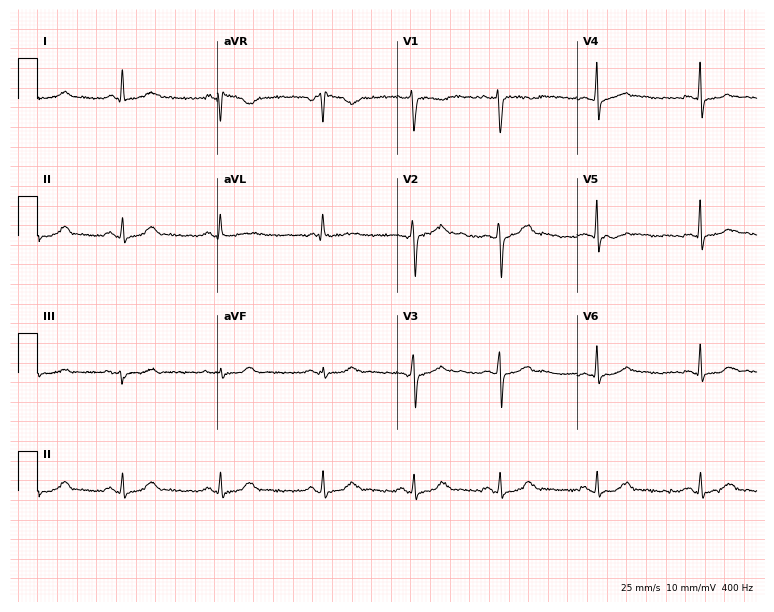
Resting 12-lead electrocardiogram. Patient: a female, 37 years old. None of these six findings is recorded: first-degree AV block, right bundle branch block, left bundle branch block, sinus bradycardia, atrial fibrillation, sinus tachycardia.